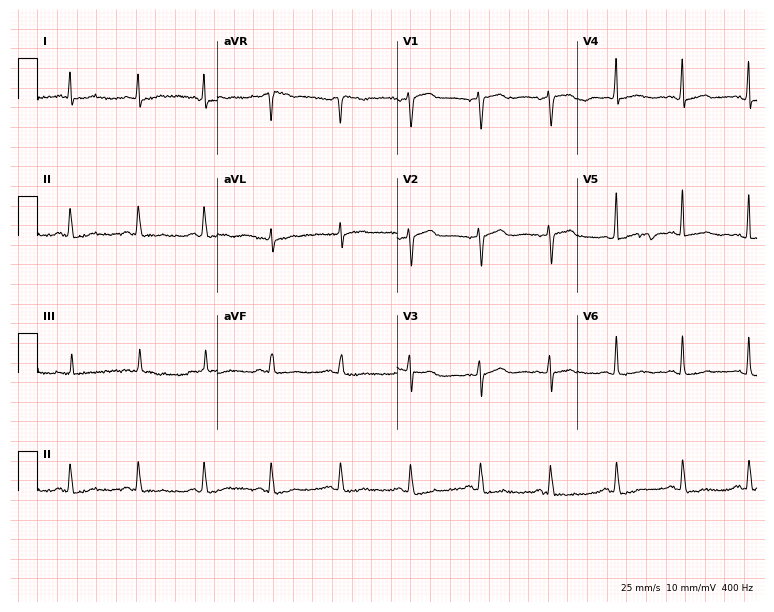
12-lead ECG from a 62-year-old woman. No first-degree AV block, right bundle branch block, left bundle branch block, sinus bradycardia, atrial fibrillation or sinus tachycardia recorded for this tracing.